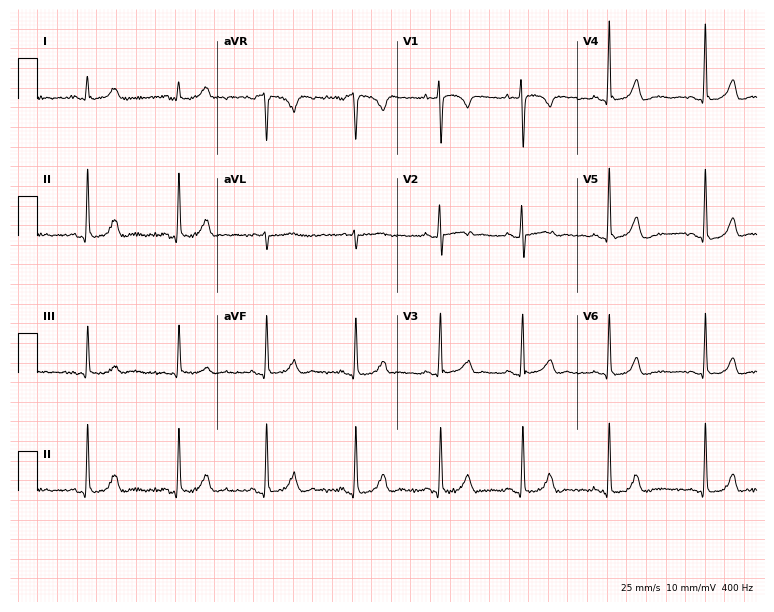
12-lead ECG from a 29-year-old female. Recorded interpretation: within normal limits.